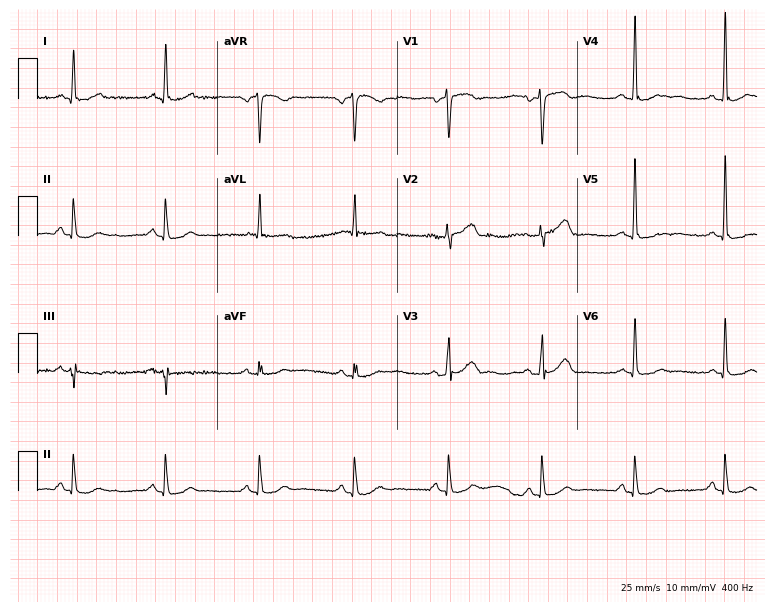
12-lead ECG from a 57-year-old male. Screened for six findings — first-degree AV block, right bundle branch block, left bundle branch block, sinus bradycardia, atrial fibrillation, sinus tachycardia — none is recorded. Other findings, if any, are not listed.